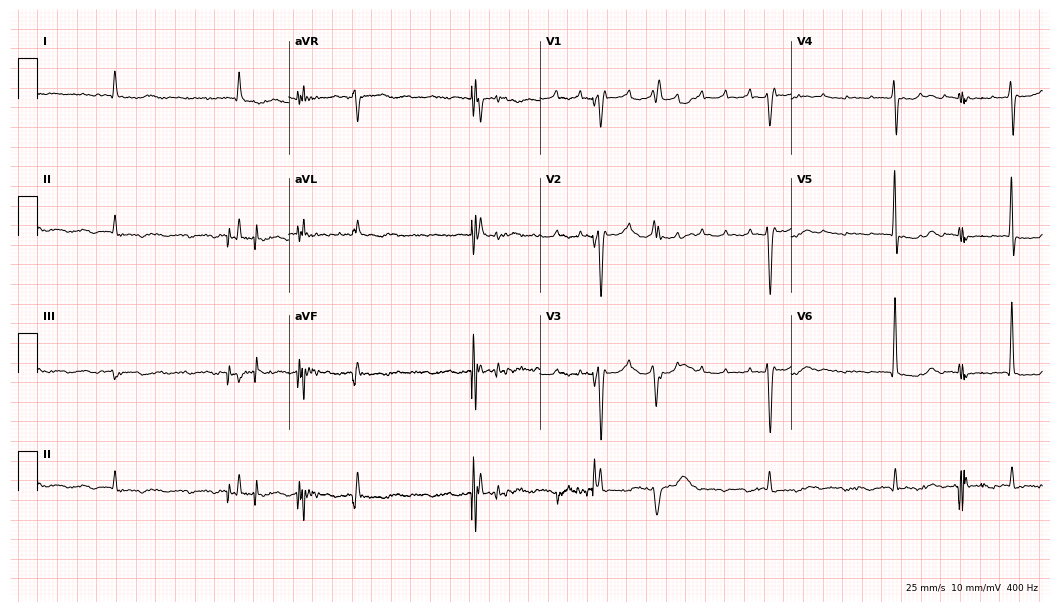
ECG (10.2-second recording at 400 Hz) — an 81-year-old male. Screened for six findings — first-degree AV block, right bundle branch block, left bundle branch block, sinus bradycardia, atrial fibrillation, sinus tachycardia — none is recorded. Other findings, if any, are not listed.